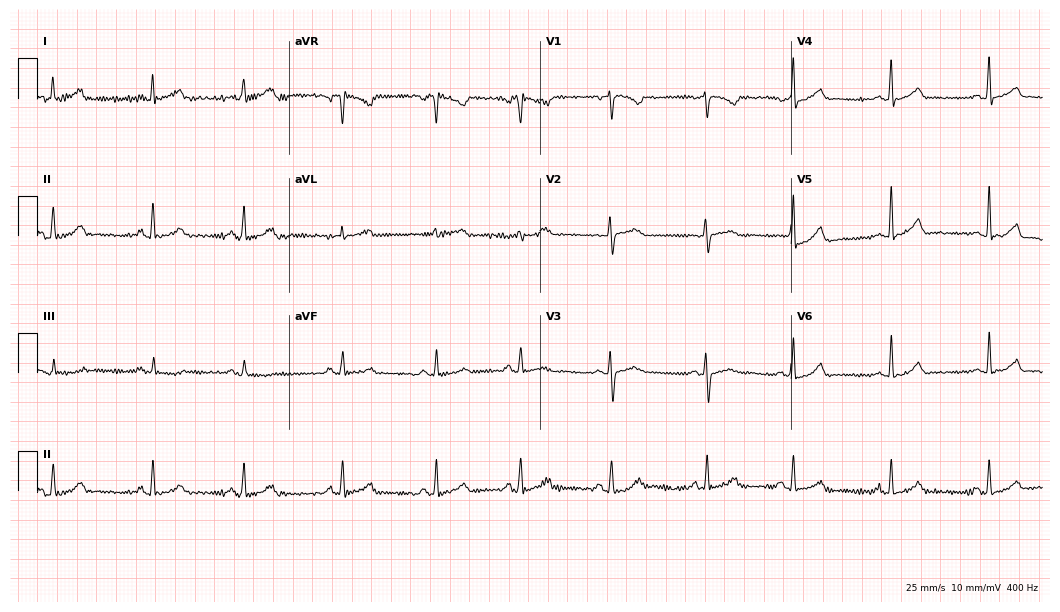
12-lead ECG from a 22-year-old female. Labelled as a normal ECG.